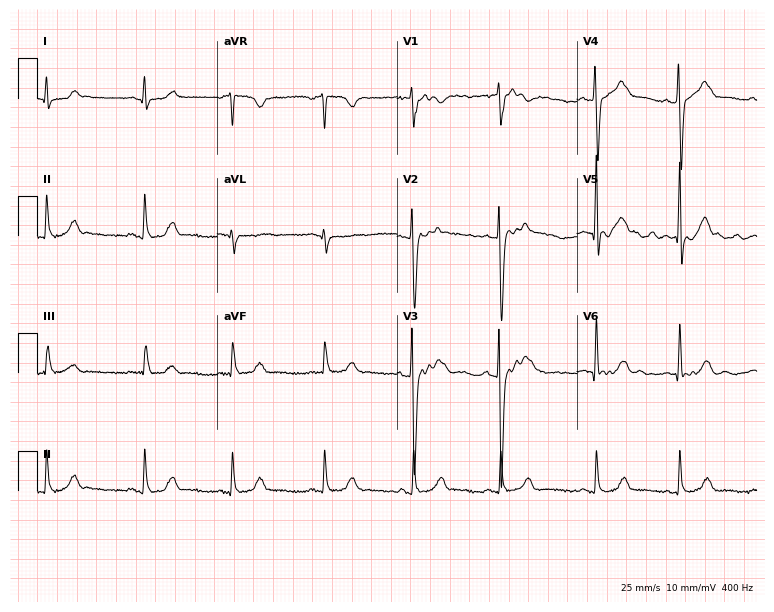
Standard 12-lead ECG recorded from a 24-year-old female patient. None of these six findings is recorded: first-degree AV block, right bundle branch block, left bundle branch block, sinus bradycardia, atrial fibrillation, sinus tachycardia. Other findings, if any, are not listed.